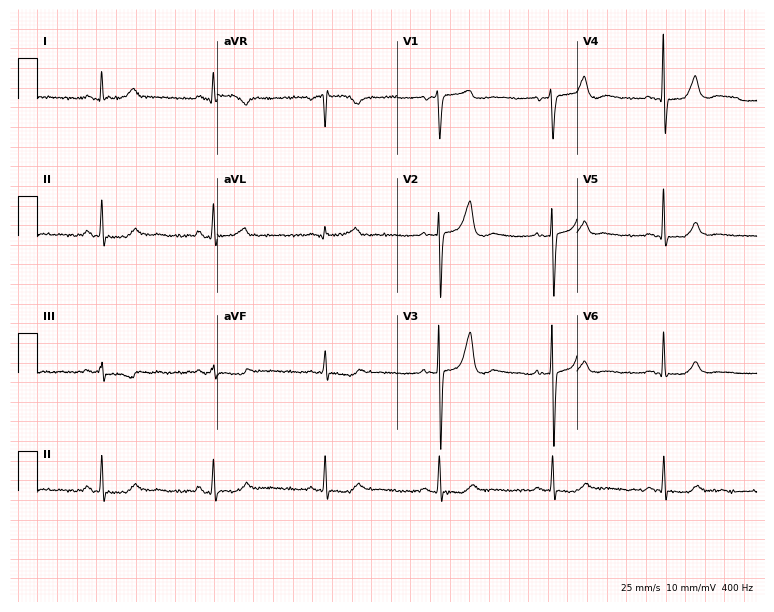
12-lead ECG from a woman, 63 years old. No first-degree AV block, right bundle branch block (RBBB), left bundle branch block (LBBB), sinus bradycardia, atrial fibrillation (AF) or sinus tachycardia recorded for this tracing. Only these six findings were labelled.